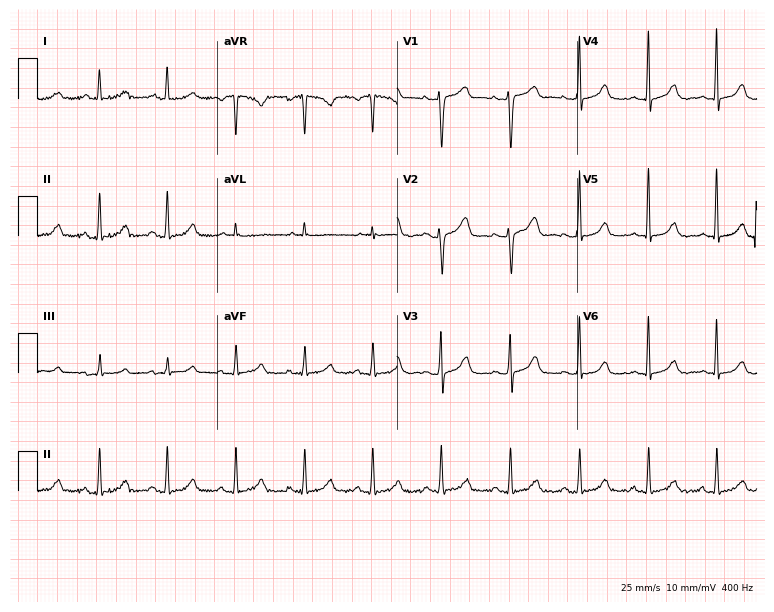
Electrocardiogram, a 46-year-old female patient. Of the six screened findings (first-degree AV block, right bundle branch block, left bundle branch block, sinus bradycardia, atrial fibrillation, sinus tachycardia), none is recorded. Findings outside these six are not listed.